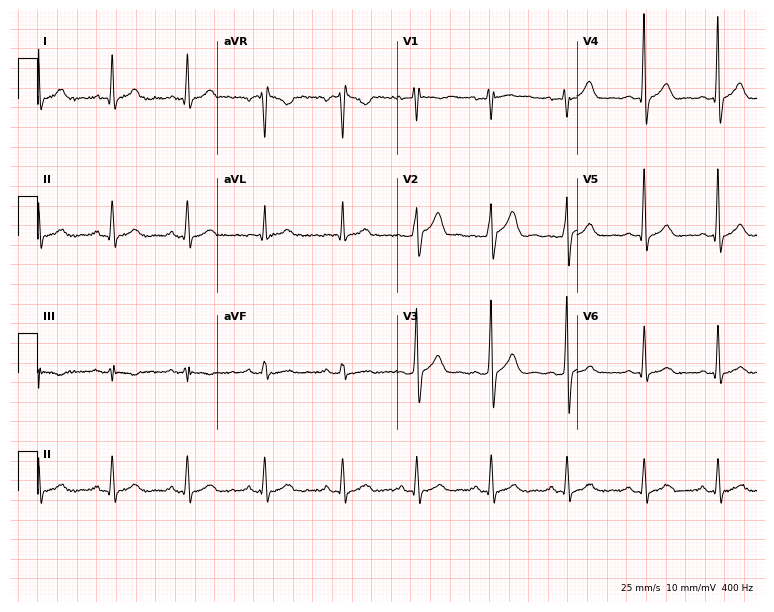
12-lead ECG from a male, 42 years old. Labelled as a normal ECG.